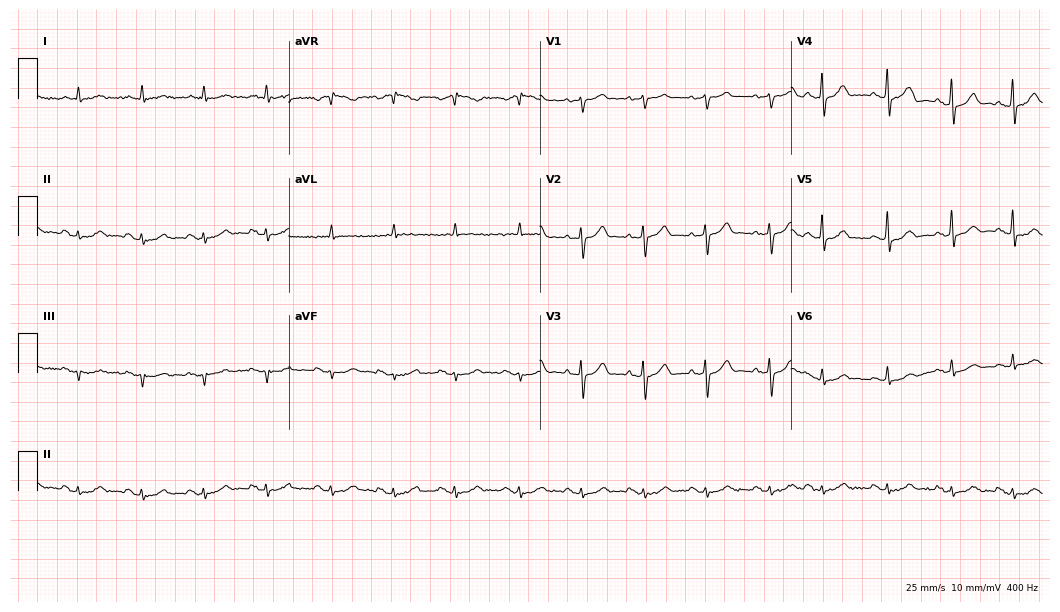
ECG (10.2-second recording at 400 Hz) — a male, 84 years old. Screened for six findings — first-degree AV block, right bundle branch block, left bundle branch block, sinus bradycardia, atrial fibrillation, sinus tachycardia — none is recorded. Only these six findings were labelled.